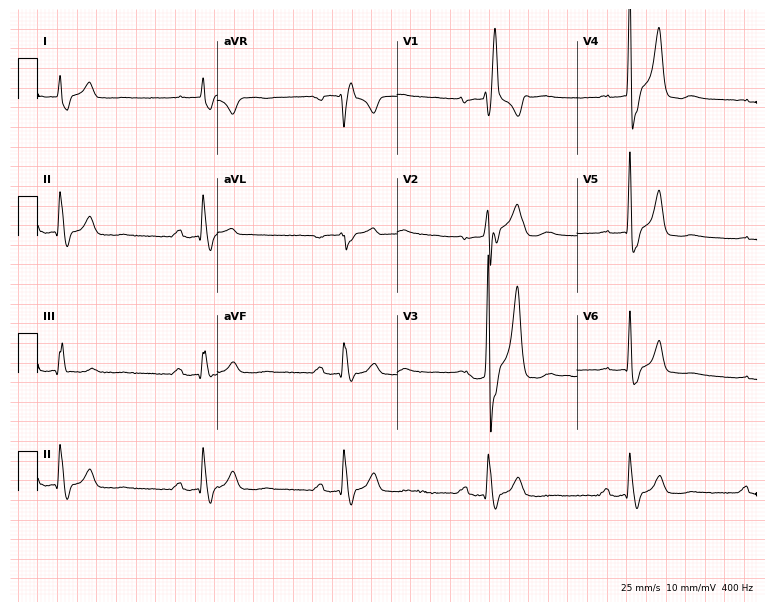
Electrocardiogram, a 73-year-old male. Interpretation includes right bundle branch block (RBBB).